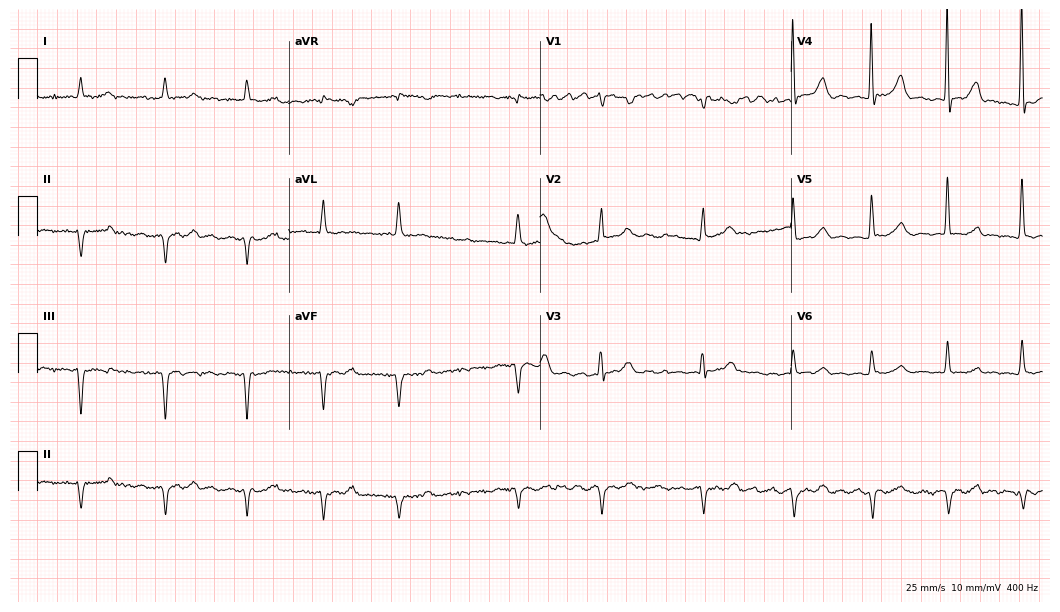
Electrocardiogram, an 83-year-old man. Interpretation includes first-degree AV block, atrial fibrillation (AF).